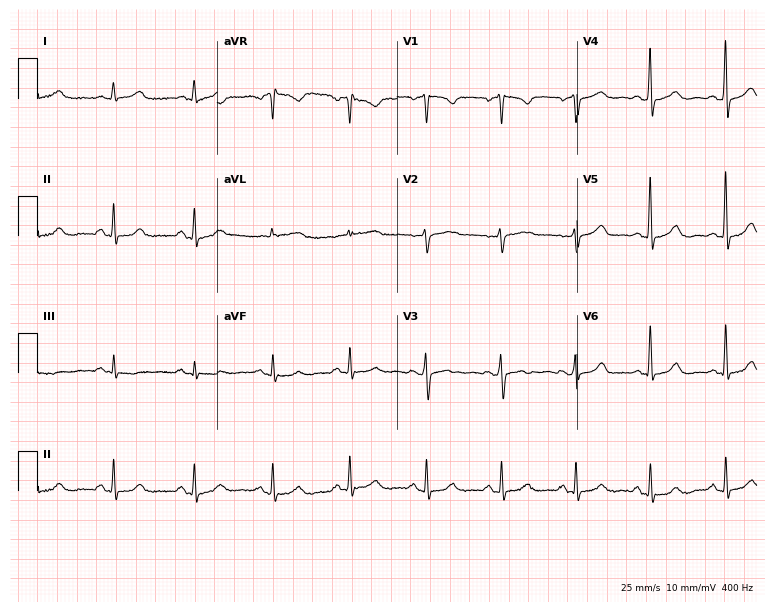
Standard 12-lead ECG recorded from a 42-year-old female (7.3-second recording at 400 Hz). Read as a normal ECG.